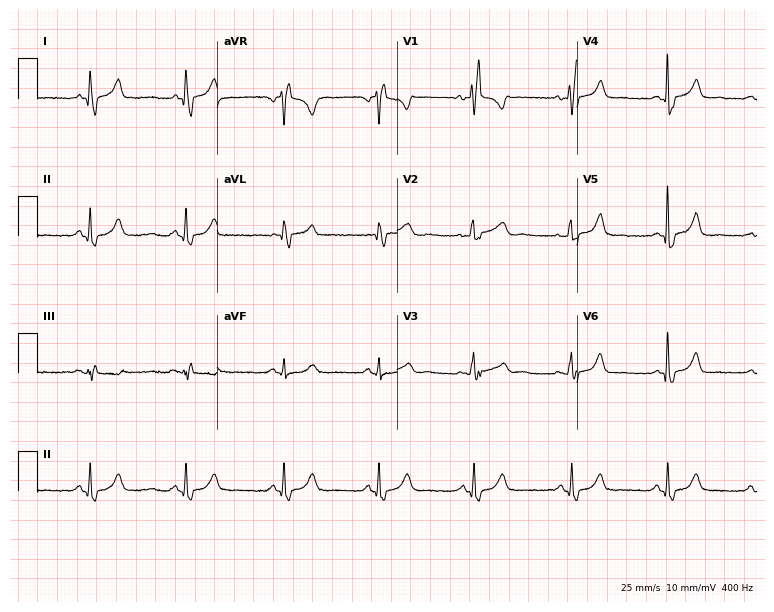
12-lead ECG from a female patient, 57 years old (7.3-second recording at 400 Hz). Shows right bundle branch block.